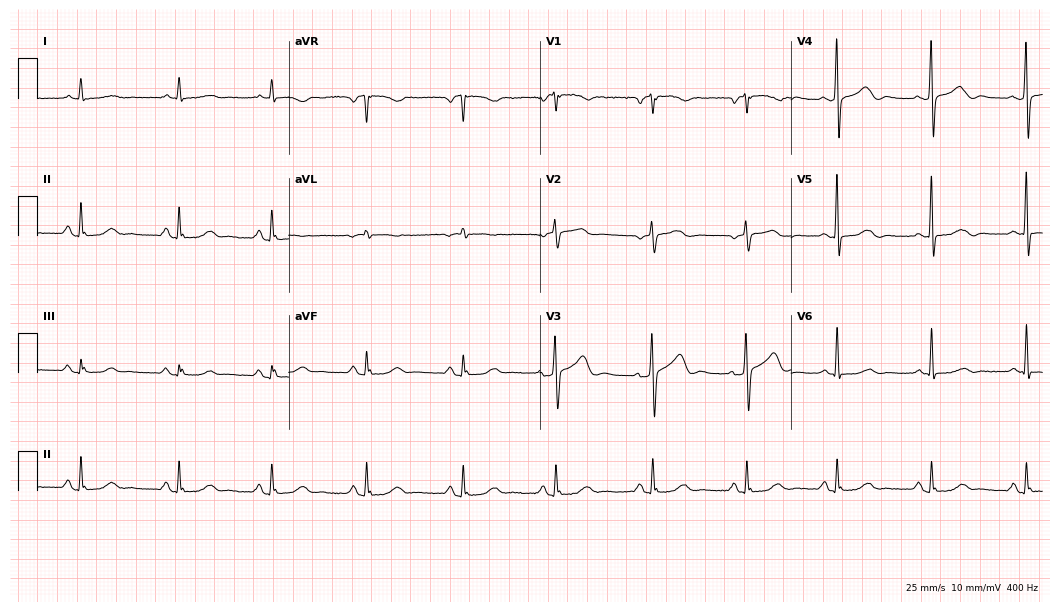
12-lead ECG from a woman, 69 years old. Labelled as a normal ECG.